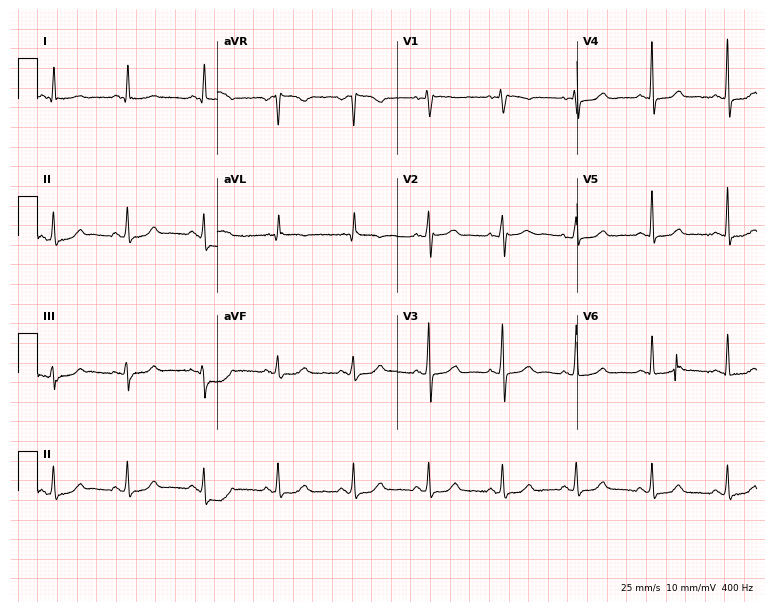
Electrocardiogram (7.3-second recording at 400 Hz), an 80-year-old female. Overall reading on record: normal ECG.